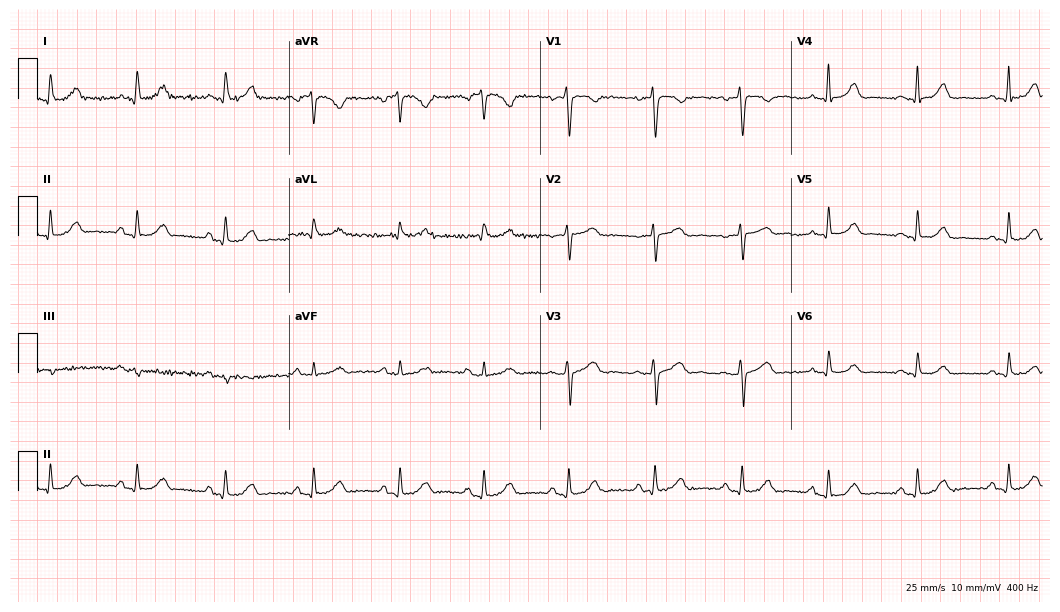
Electrocardiogram (10.2-second recording at 400 Hz), a 48-year-old female. Of the six screened findings (first-degree AV block, right bundle branch block, left bundle branch block, sinus bradycardia, atrial fibrillation, sinus tachycardia), none is recorded.